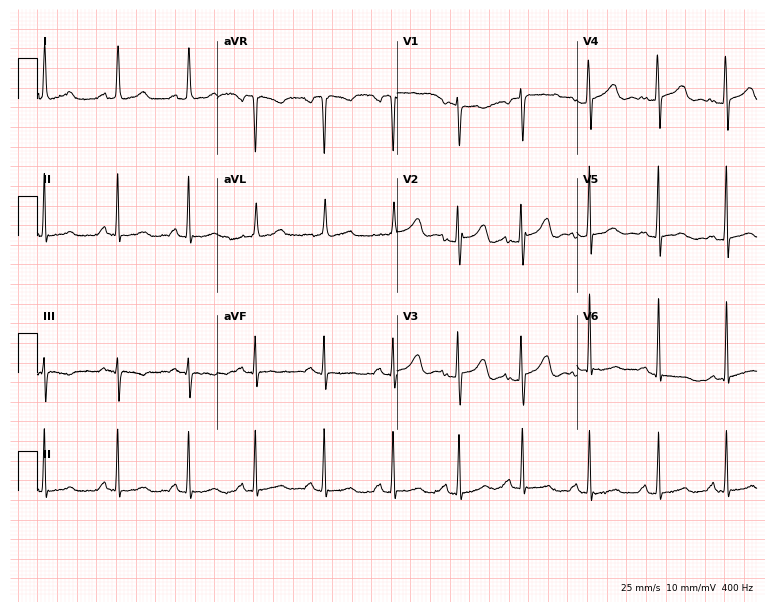
ECG (7.3-second recording at 400 Hz) — a 24-year-old female patient. Screened for six findings — first-degree AV block, right bundle branch block (RBBB), left bundle branch block (LBBB), sinus bradycardia, atrial fibrillation (AF), sinus tachycardia — none is recorded. Only these six findings were labelled.